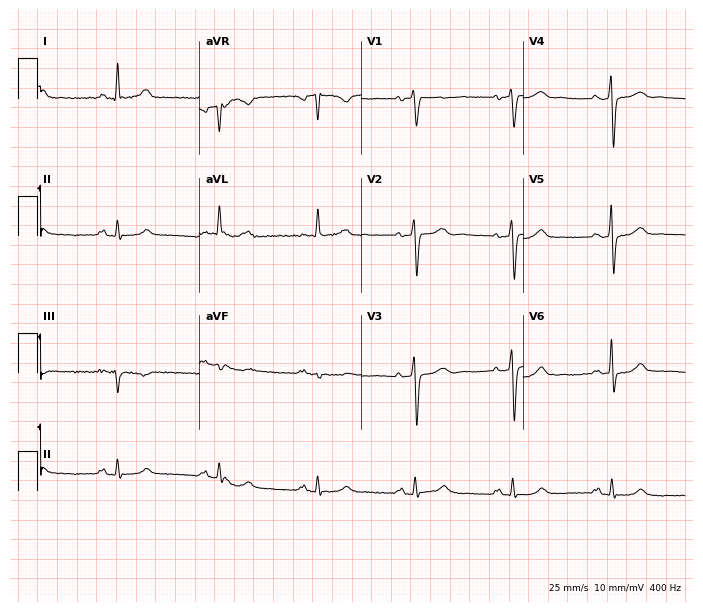
Electrocardiogram, a 54-year-old female. Of the six screened findings (first-degree AV block, right bundle branch block, left bundle branch block, sinus bradycardia, atrial fibrillation, sinus tachycardia), none is recorded.